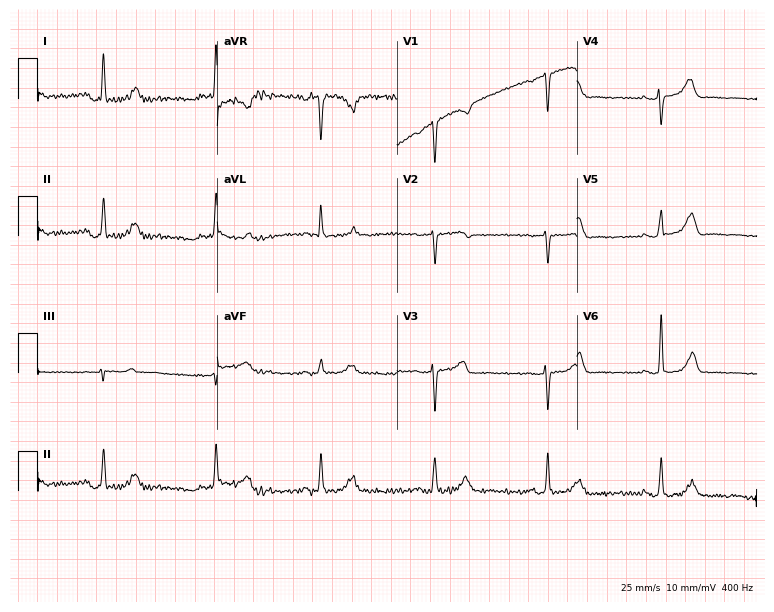
12-lead ECG from a 58-year-old female. Screened for six findings — first-degree AV block, right bundle branch block, left bundle branch block, sinus bradycardia, atrial fibrillation, sinus tachycardia — none is recorded.